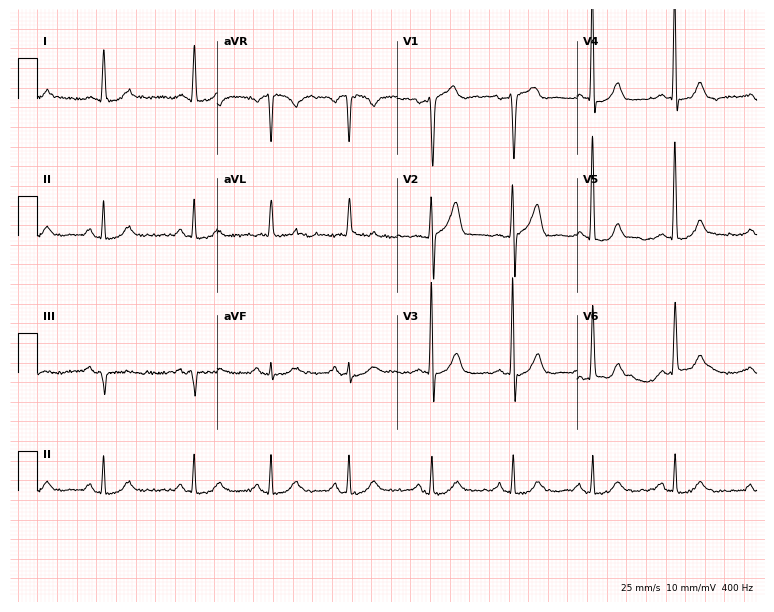
ECG — an 84-year-old male. Labelled as a normal ECG.